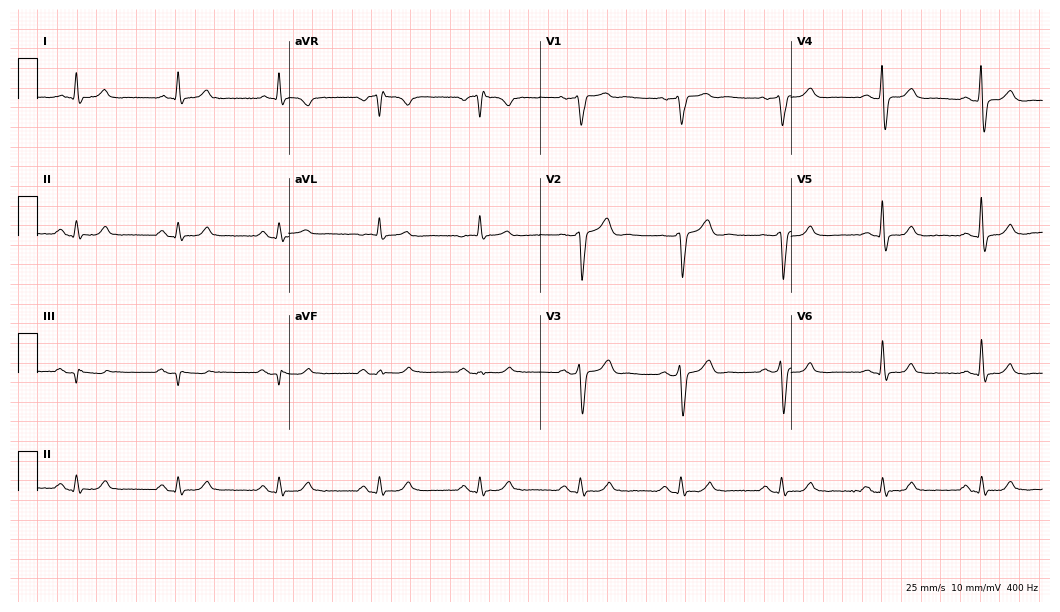
12-lead ECG from a 69-year-old male. Screened for six findings — first-degree AV block, right bundle branch block, left bundle branch block, sinus bradycardia, atrial fibrillation, sinus tachycardia — none is recorded. Only these six findings were labelled.